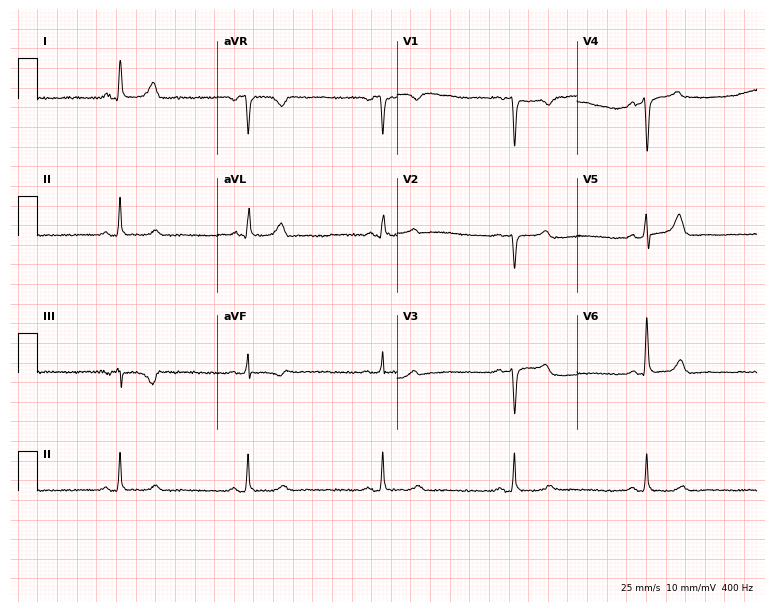
Electrocardiogram, a 52-year-old female. Interpretation includes sinus bradycardia (a sinus rate of 50 beats per minute or less).